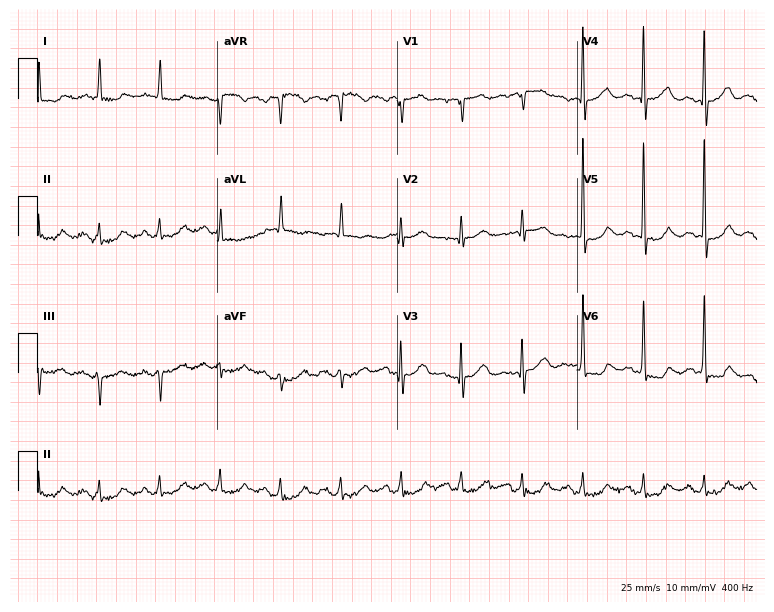
ECG — an 83-year-old male. Screened for six findings — first-degree AV block, right bundle branch block, left bundle branch block, sinus bradycardia, atrial fibrillation, sinus tachycardia — none is recorded.